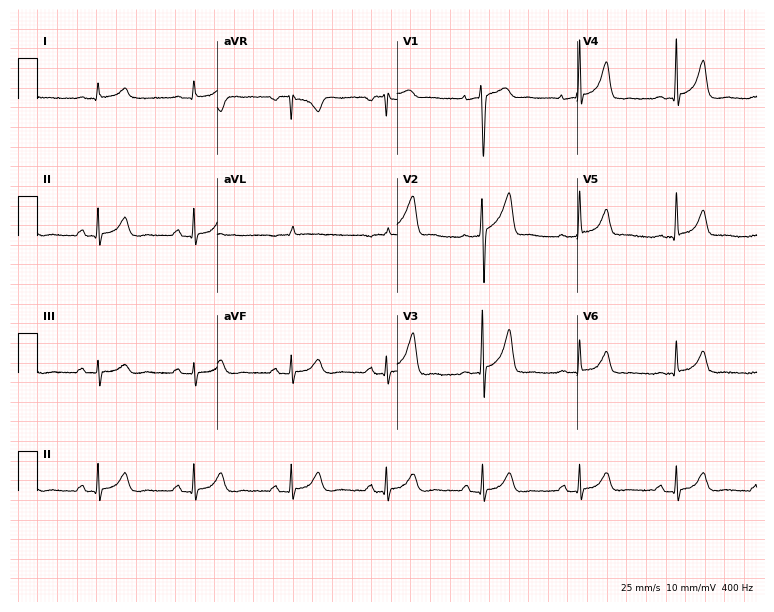
ECG (7.3-second recording at 400 Hz) — a 64-year-old man. Screened for six findings — first-degree AV block, right bundle branch block (RBBB), left bundle branch block (LBBB), sinus bradycardia, atrial fibrillation (AF), sinus tachycardia — none is recorded. Other findings, if any, are not listed.